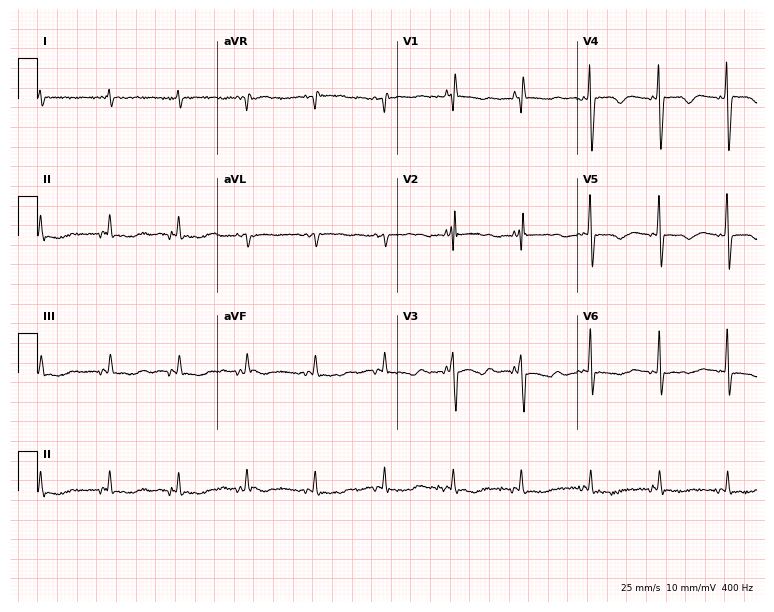
Resting 12-lead electrocardiogram. Patient: a 74-year-old woman. None of these six findings is recorded: first-degree AV block, right bundle branch block, left bundle branch block, sinus bradycardia, atrial fibrillation, sinus tachycardia.